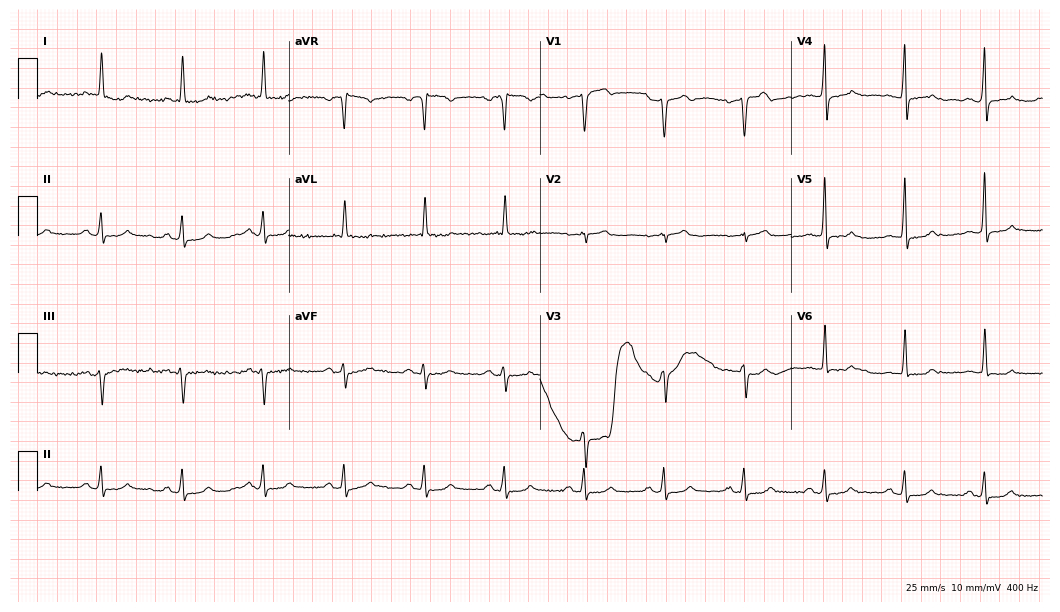
Resting 12-lead electrocardiogram (10.2-second recording at 400 Hz). Patient: a man, 75 years old. Read as a normal ECG.